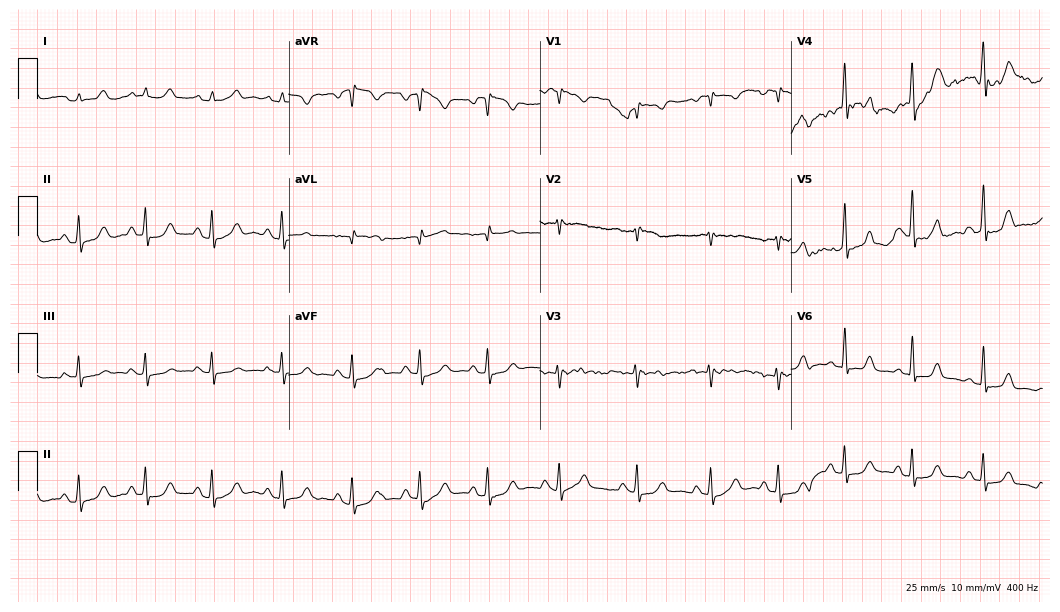
12-lead ECG (10.2-second recording at 400 Hz) from a woman, 25 years old. Labelled as a normal ECG.